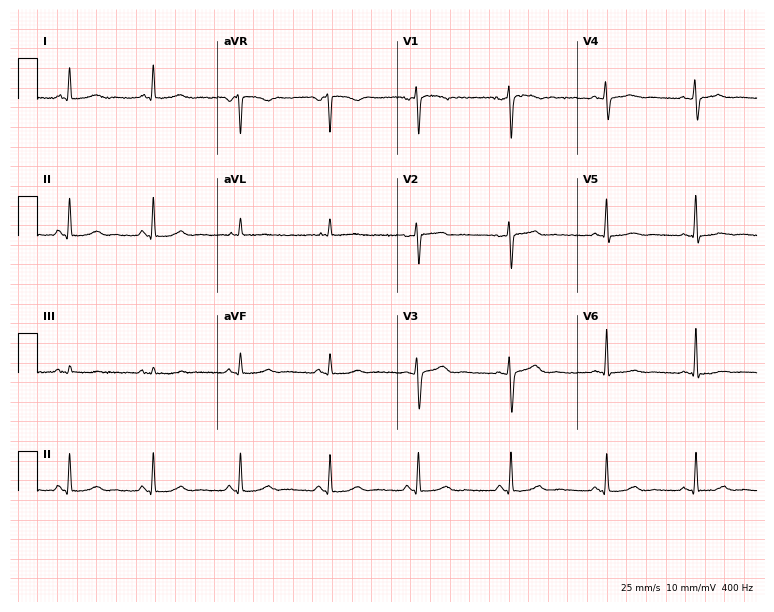
Electrocardiogram, a 46-year-old female patient. Of the six screened findings (first-degree AV block, right bundle branch block (RBBB), left bundle branch block (LBBB), sinus bradycardia, atrial fibrillation (AF), sinus tachycardia), none is recorded. Only these six findings were labelled.